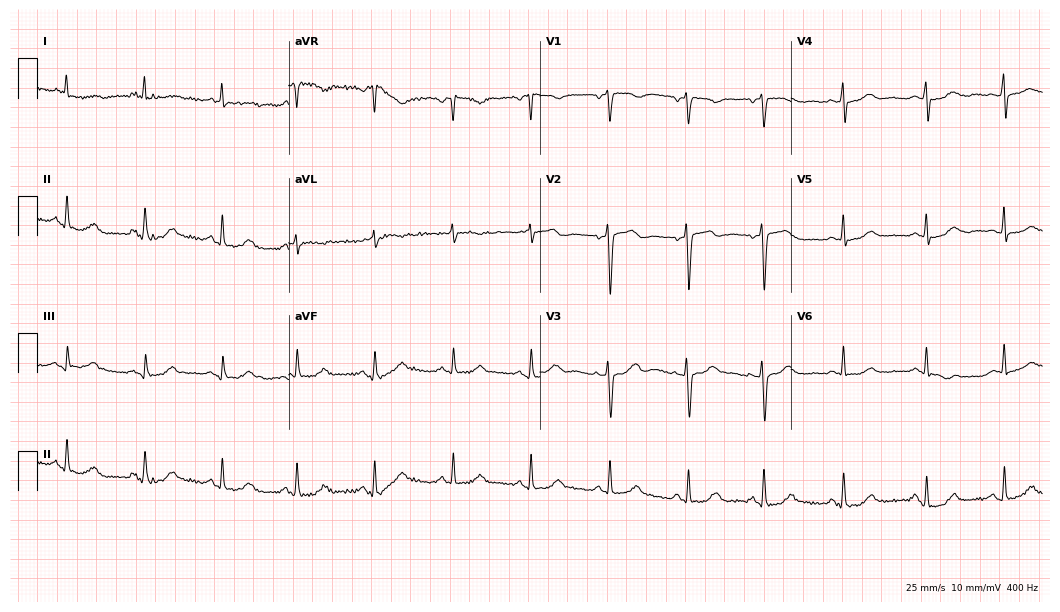
12-lead ECG (10.2-second recording at 400 Hz) from a 61-year-old female. Labelled as a normal ECG.